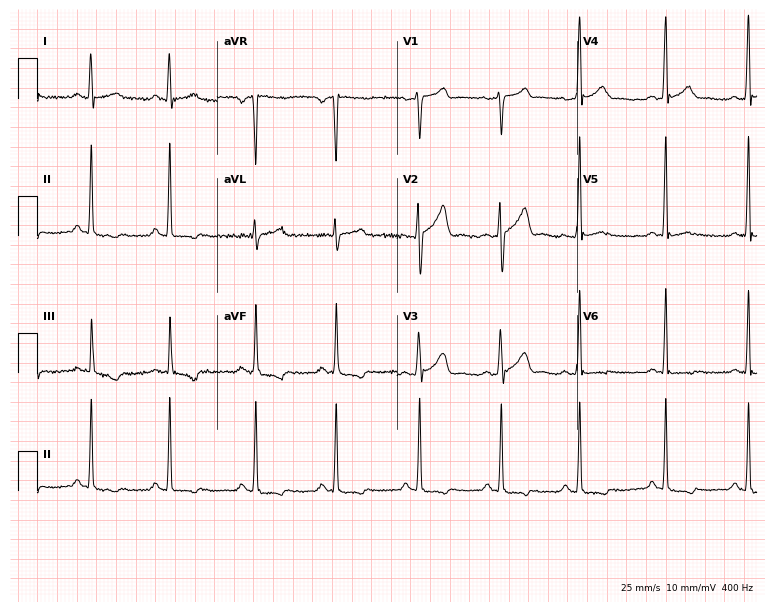
Standard 12-lead ECG recorded from a 30-year-old man. None of these six findings is recorded: first-degree AV block, right bundle branch block (RBBB), left bundle branch block (LBBB), sinus bradycardia, atrial fibrillation (AF), sinus tachycardia.